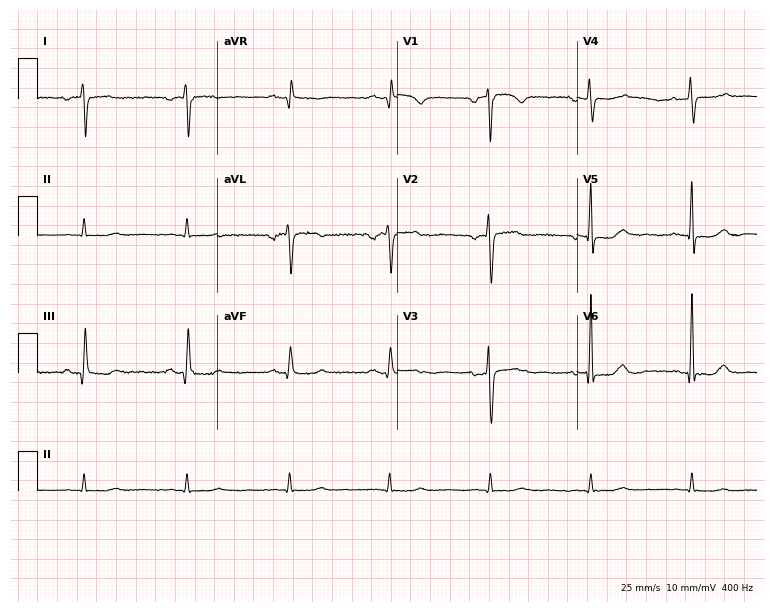
Resting 12-lead electrocardiogram. Patient: a 67-year-old female. Read as a normal ECG.